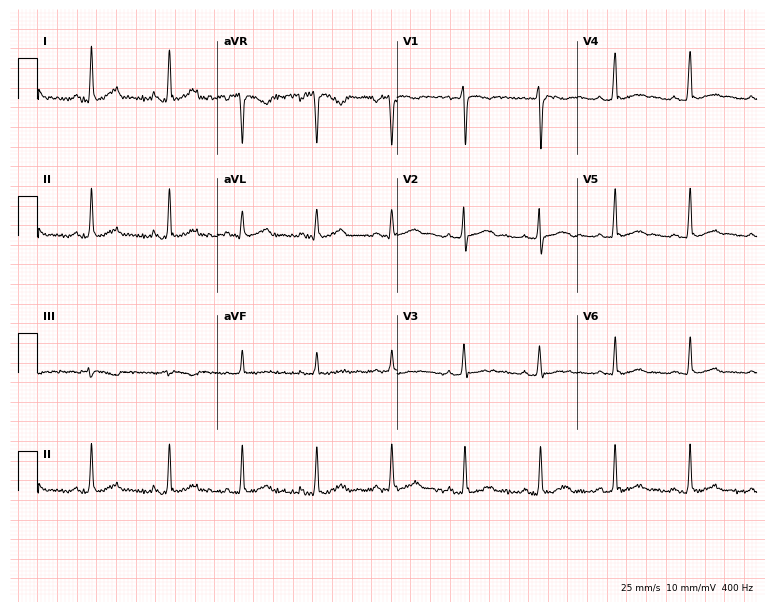
12-lead ECG (7.3-second recording at 400 Hz) from a 32-year-old female patient. Screened for six findings — first-degree AV block, right bundle branch block (RBBB), left bundle branch block (LBBB), sinus bradycardia, atrial fibrillation (AF), sinus tachycardia — none is recorded. Other findings, if any, are not listed.